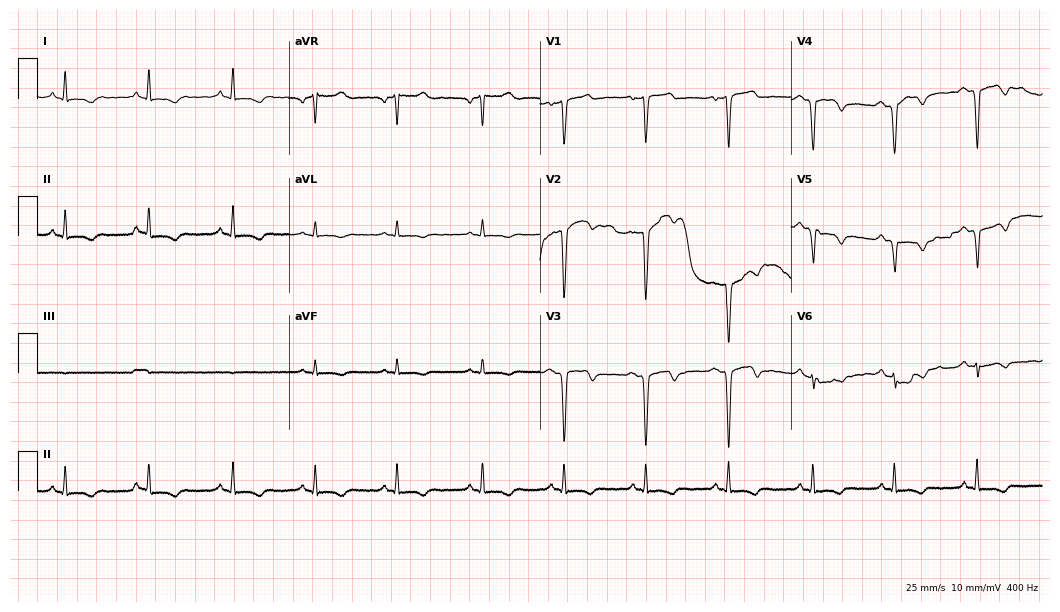
12-lead ECG from a man, 59 years old. Screened for six findings — first-degree AV block, right bundle branch block, left bundle branch block, sinus bradycardia, atrial fibrillation, sinus tachycardia — none is recorded. Only these six findings were labelled.